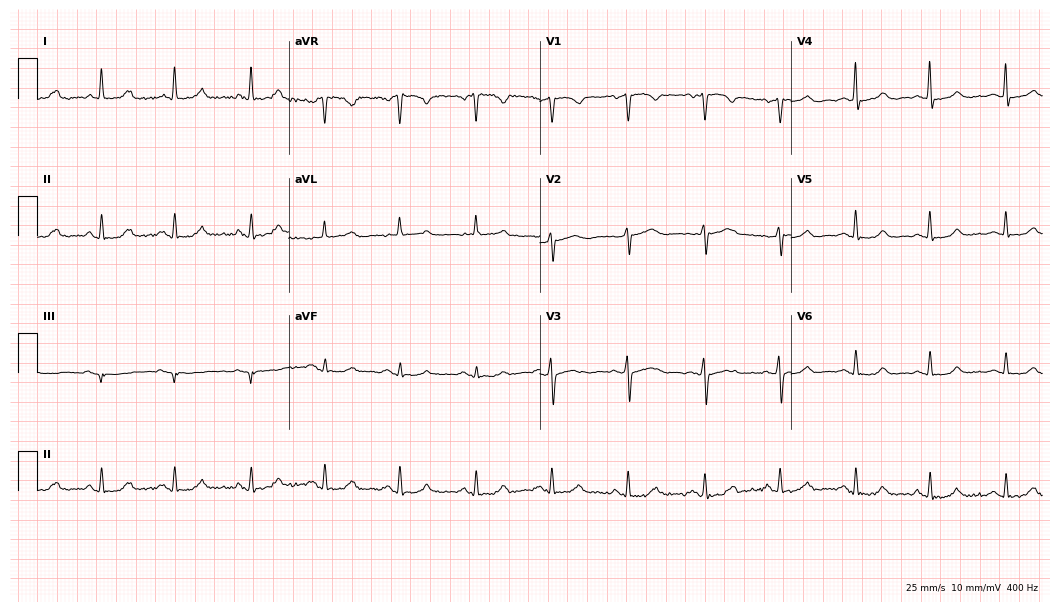
Standard 12-lead ECG recorded from a 54-year-old female (10.2-second recording at 400 Hz). Read as a normal ECG.